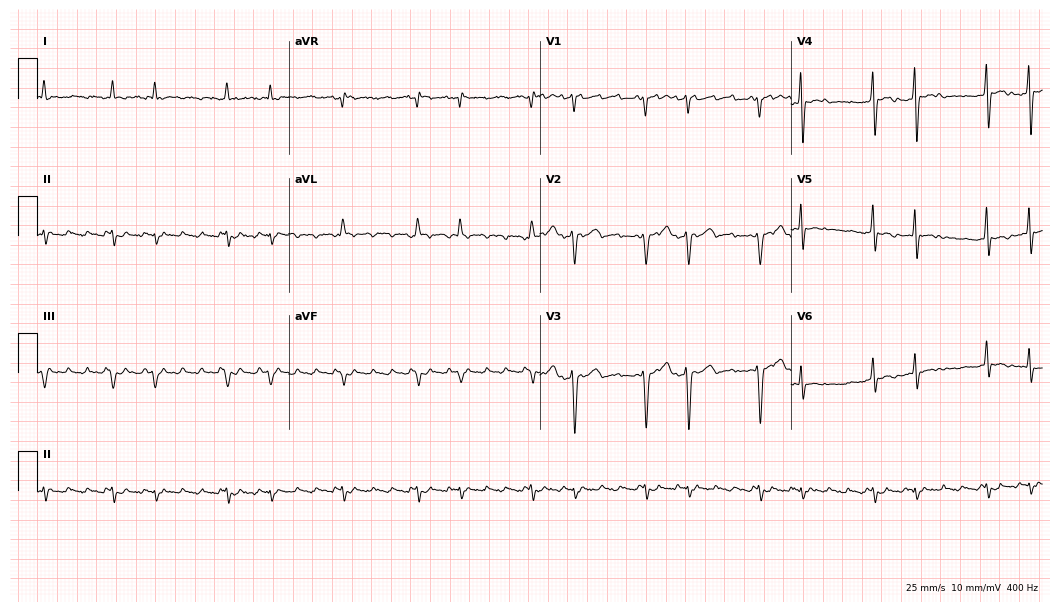
Standard 12-lead ECG recorded from an 83-year-old male (10.2-second recording at 400 Hz). None of these six findings is recorded: first-degree AV block, right bundle branch block, left bundle branch block, sinus bradycardia, atrial fibrillation, sinus tachycardia.